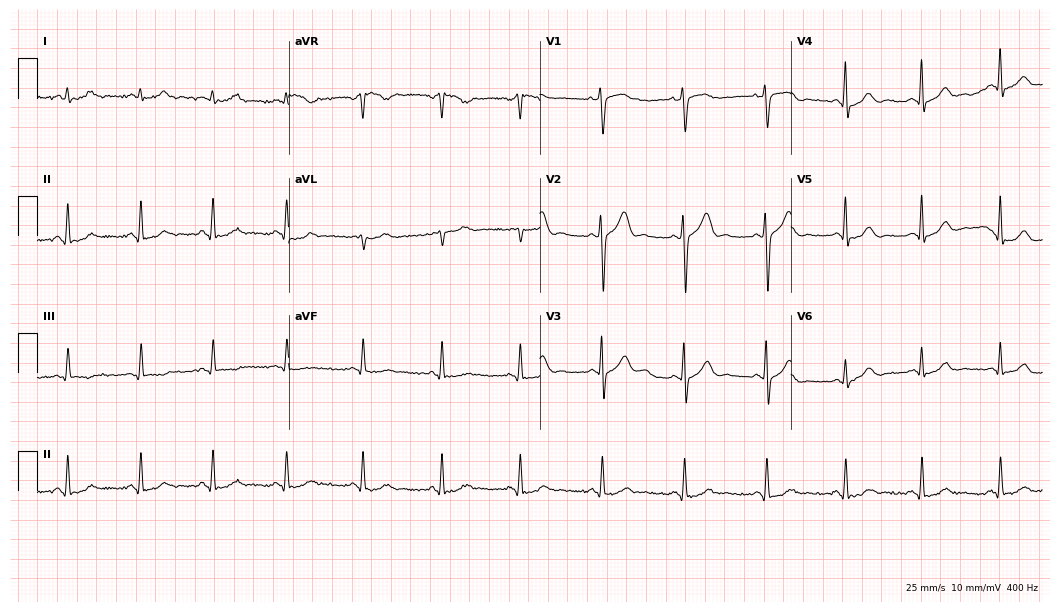
Electrocardiogram (10.2-second recording at 400 Hz), a male patient, 34 years old. Overall reading on record: normal ECG.